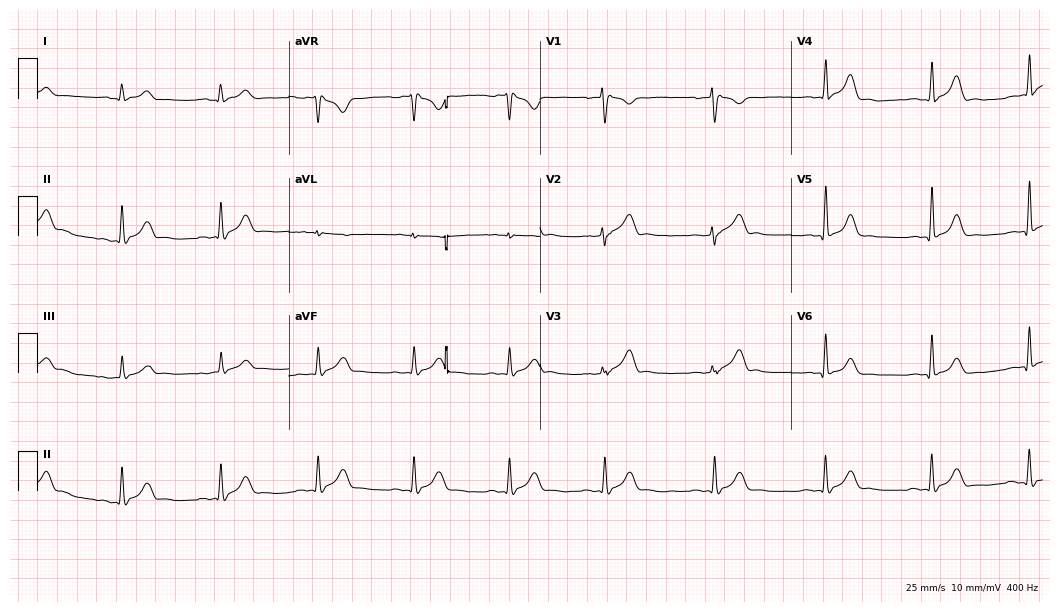
ECG — a 28-year-old male. Labelled as a normal ECG.